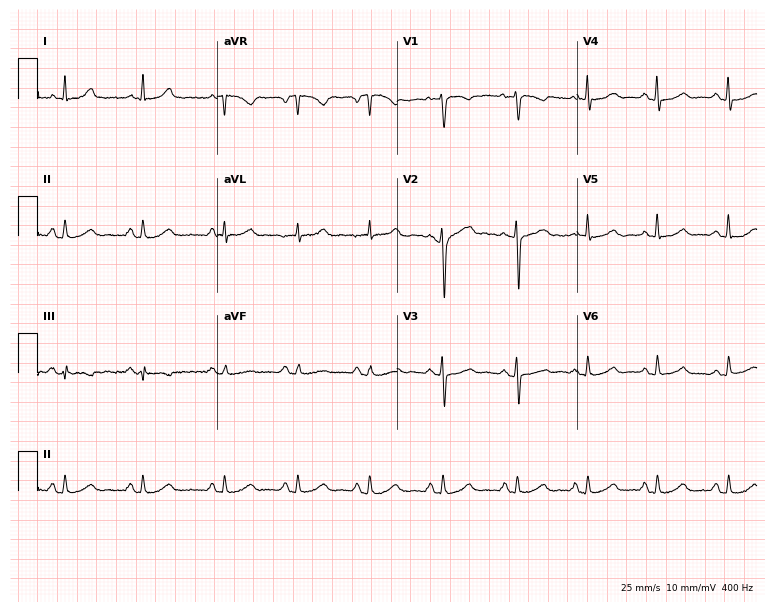
12-lead ECG (7.3-second recording at 400 Hz) from a 49-year-old female. Labelled as a normal ECG.